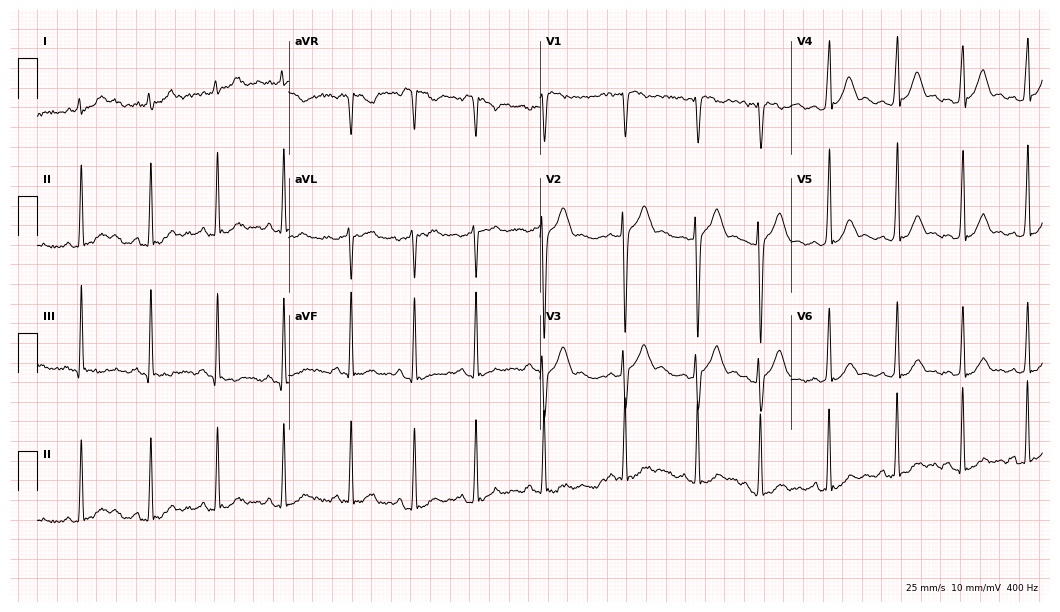
12-lead ECG (10.2-second recording at 400 Hz) from a male, 22 years old. Screened for six findings — first-degree AV block, right bundle branch block (RBBB), left bundle branch block (LBBB), sinus bradycardia, atrial fibrillation (AF), sinus tachycardia — none is recorded.